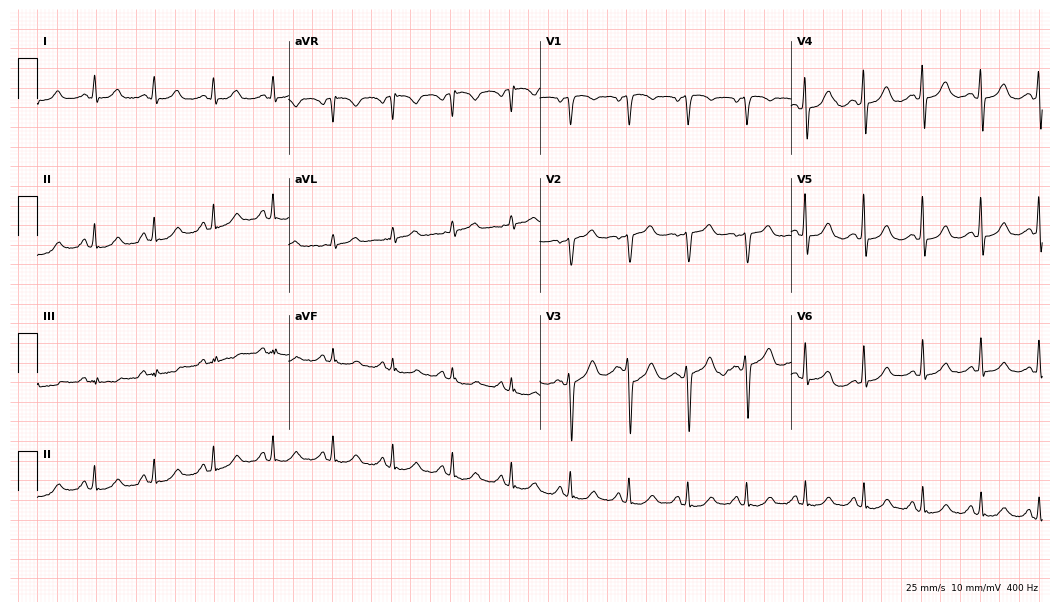
ECG — a male patient, 68 years old. Labelled as a normal ECG.